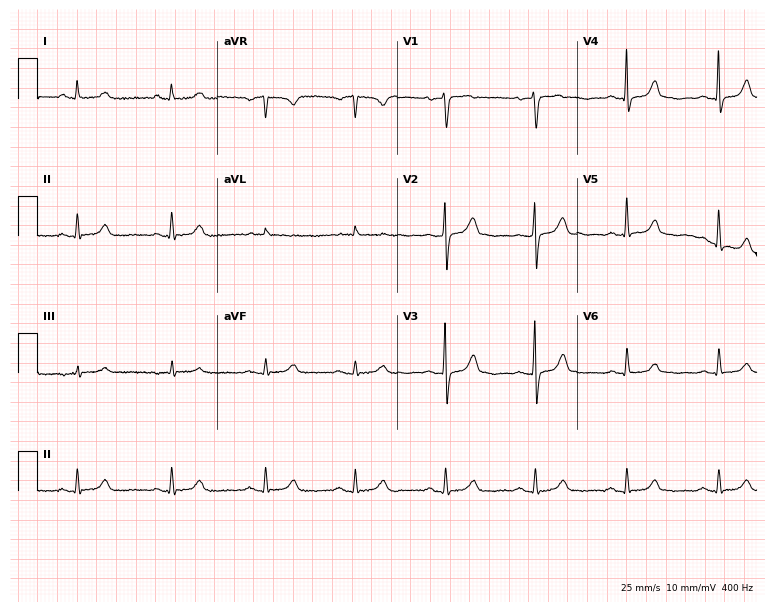
Electrocardiogram, a 71-year-old female. Overall reading on record: normal ECG.